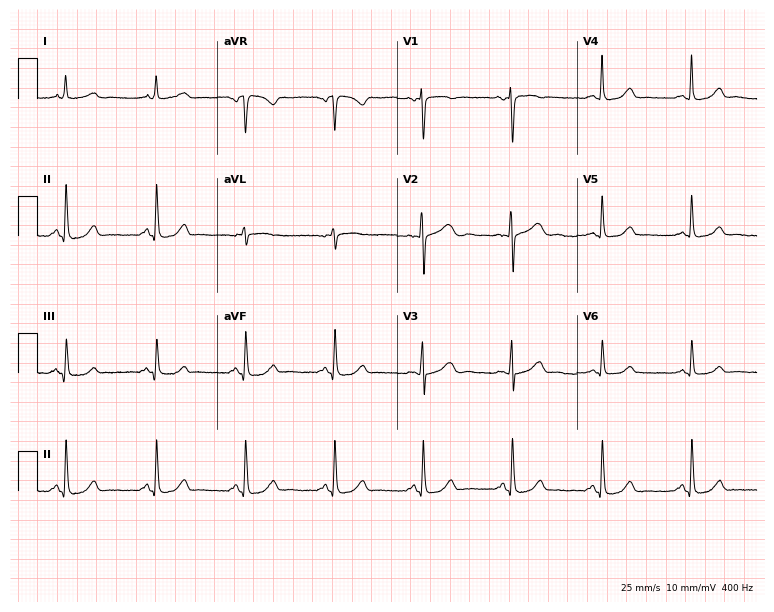
Standard 12-lead ECG recorded from a 52-year-old woman. Read as a normal ECG.